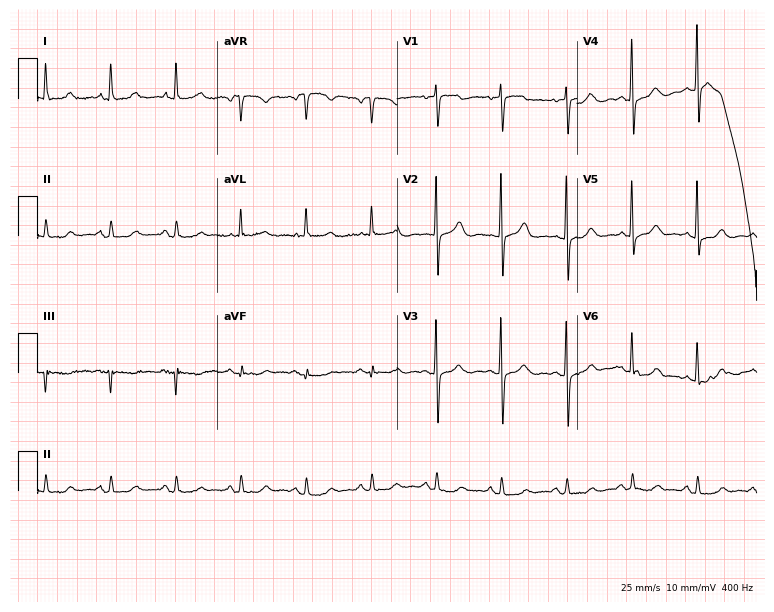
ECG (7.3-second recording at 400 Hz) — a 76-year-old female patient. Labelled as a normal ECG.